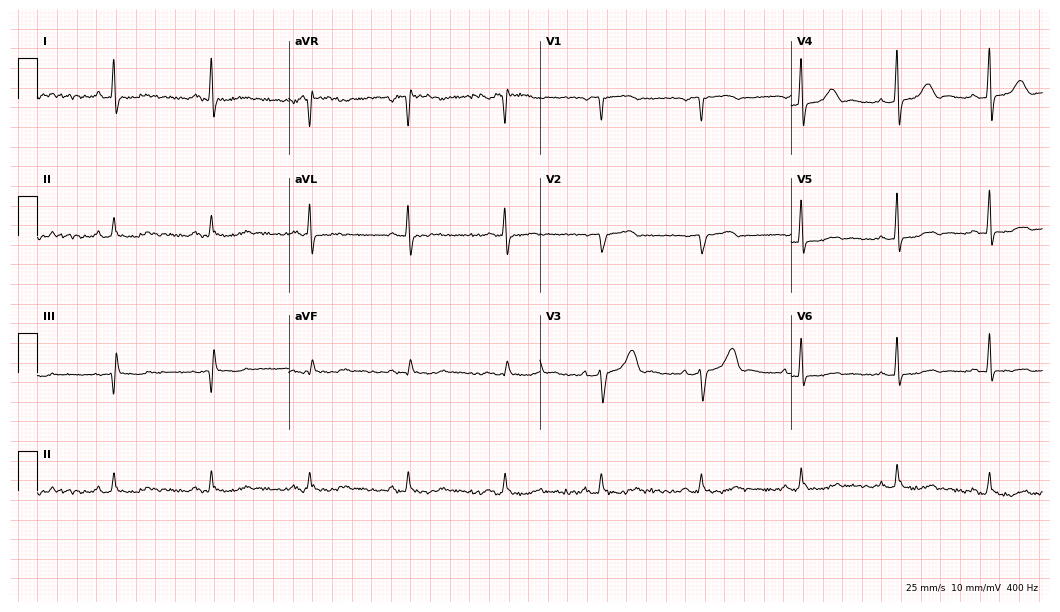
Resting 12-lead electrocardiogram. Patient: a 53-year-old female. None of these six findings is recorded: first-degree AV block, right bundle branch block, left bundle branch block, sinus bradycardia, atrial fibrillation, sinus tachycardia.